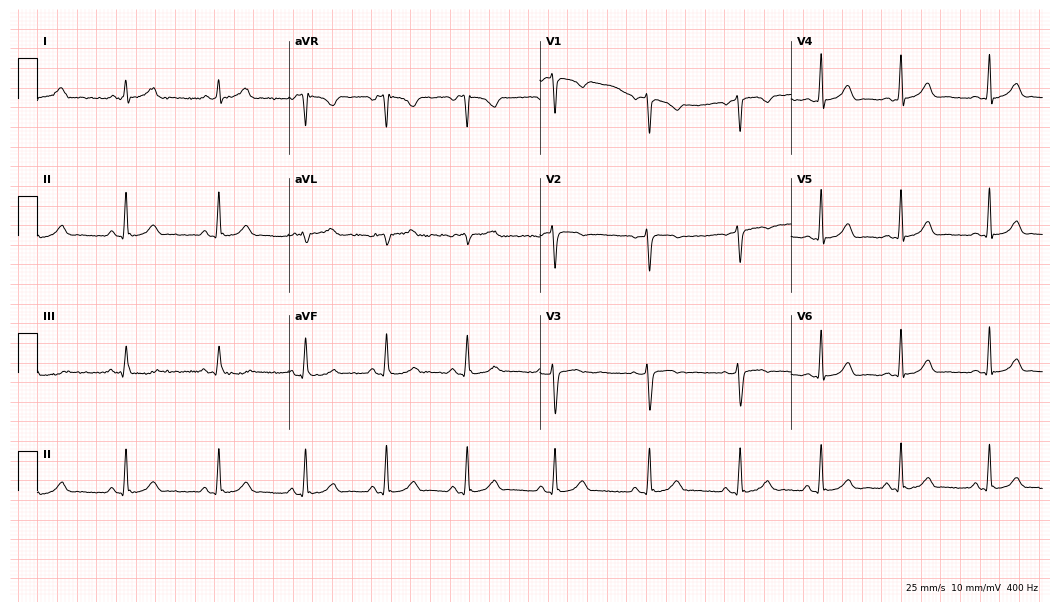
12-lead ECG from a woman, 35 years old. Labelled as a normal ECG.